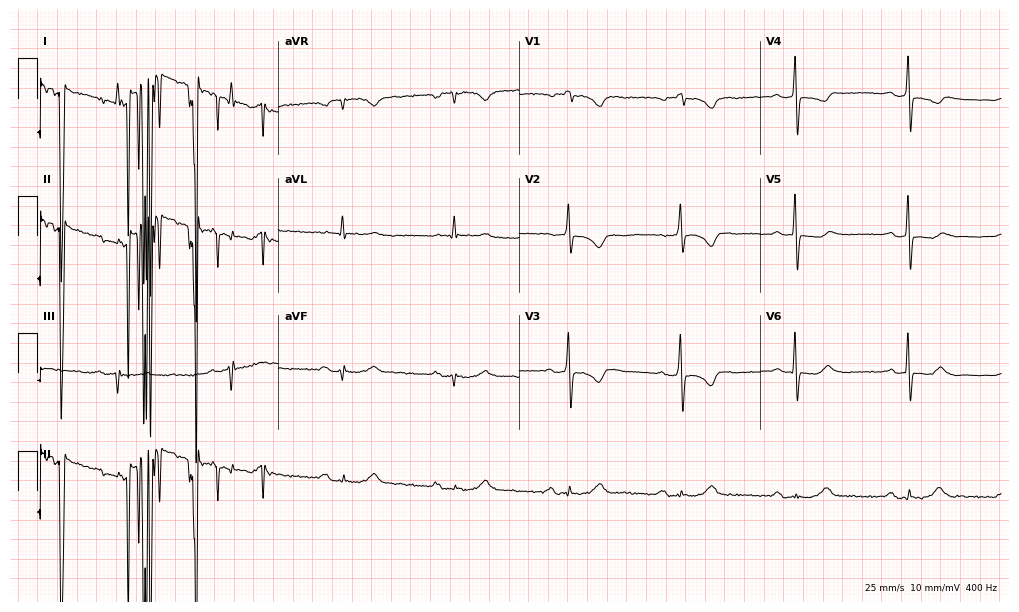
Standard 12-lead ECG recorded from a male, 83 years old. None of these six findings is recorded: first-degree AV block, right bundle branch block, left bundle branch block, sinus bradycardia, atrial fibrillation, sinus tachycardia. Other findings, if any, are not listed.